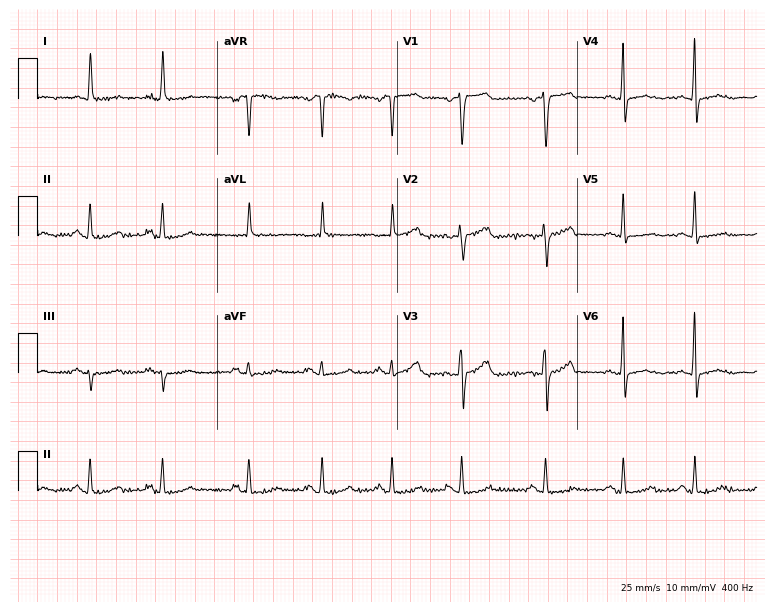
12-lead ECG from a 38-year-old woman. Screened for six findings — first-degree AV block, right bundle branch block, left bundle branch block, sinus bradycardia, atrial fibrillation, sinus tachycardia — none is recorded. Findings outside these six are not listed.